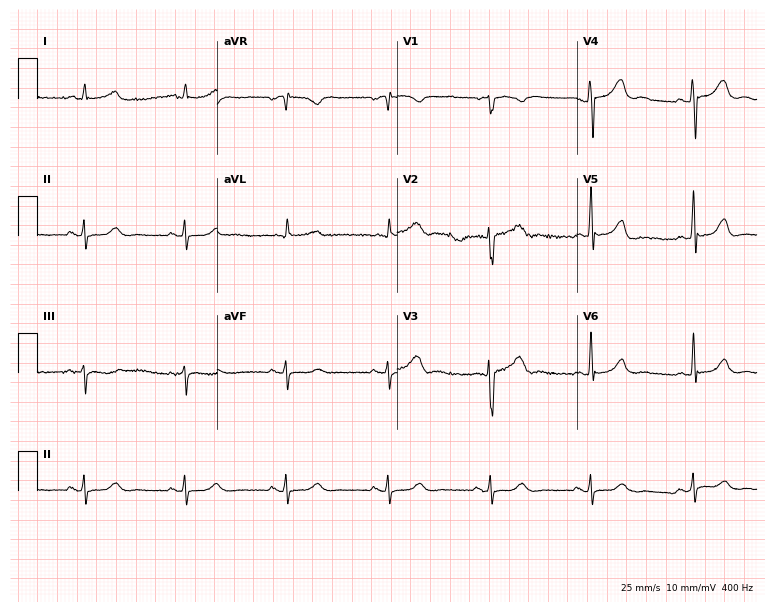
ECG (7.3-second recording at 400 Hz) — a male patient, 68 years old. Screened for six findings — first-degree AV block, right bundle branch block, left bundle branch block, sinus bradycardia, atrial fibrillation, sinus tachycardia — none is recorded. Only these six findings were labelled.